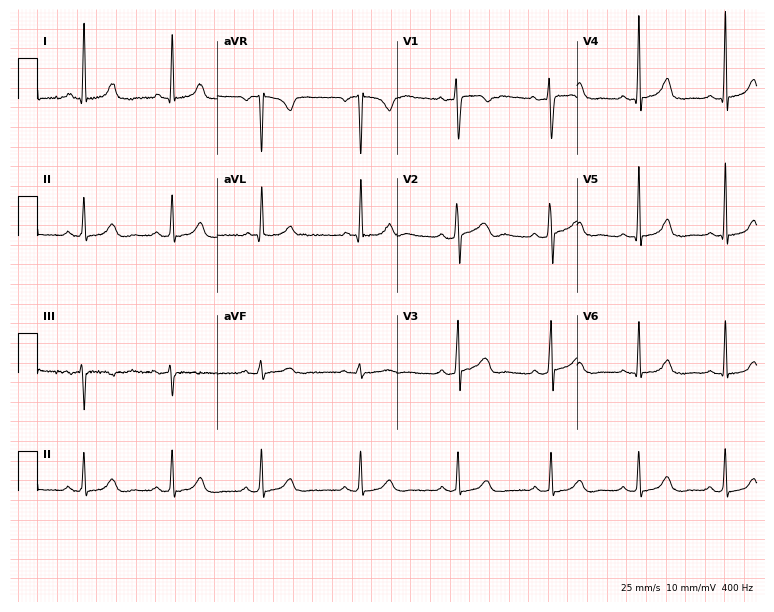
12-lead ECG (7.3-second recording at 400 Hz) from a woman, 35 years old. Screened for six findings — first-degree AV block, right bundle branch block, left bundle branch block, sinus bradycardia, atrial fibrillation, sinus tachycardia — none is recorded. Only these six findings were labelled.